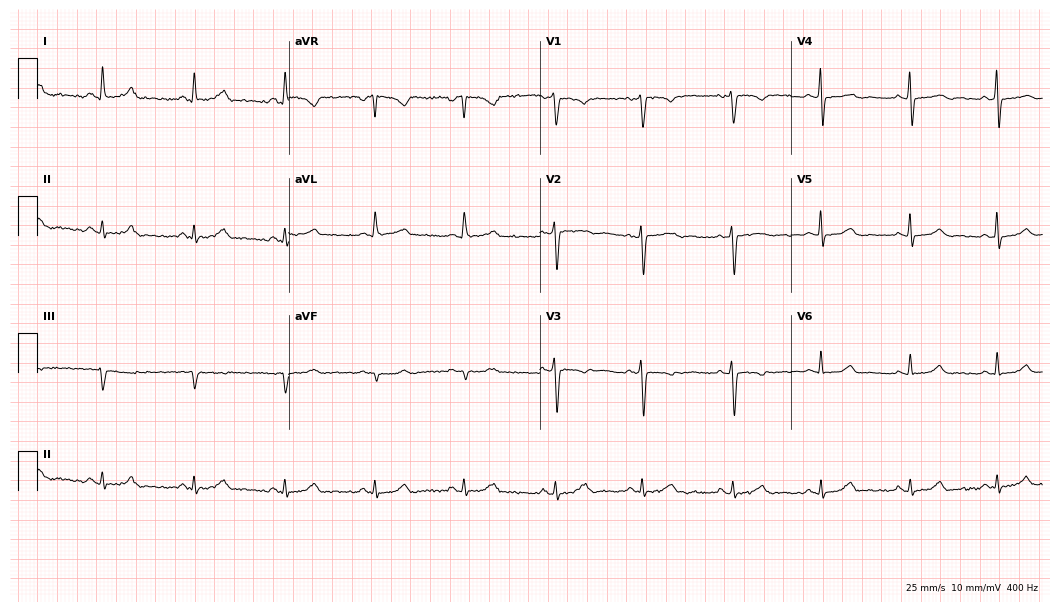
Resting 12-lead electrocardiogram. Patient: a female, 47 years old. None of these six findings is recorded: first-degree AV block, right bundle branch block, left bundle branch block, sinus bradycardia, atrial fibrillation, sinus tachycardia.